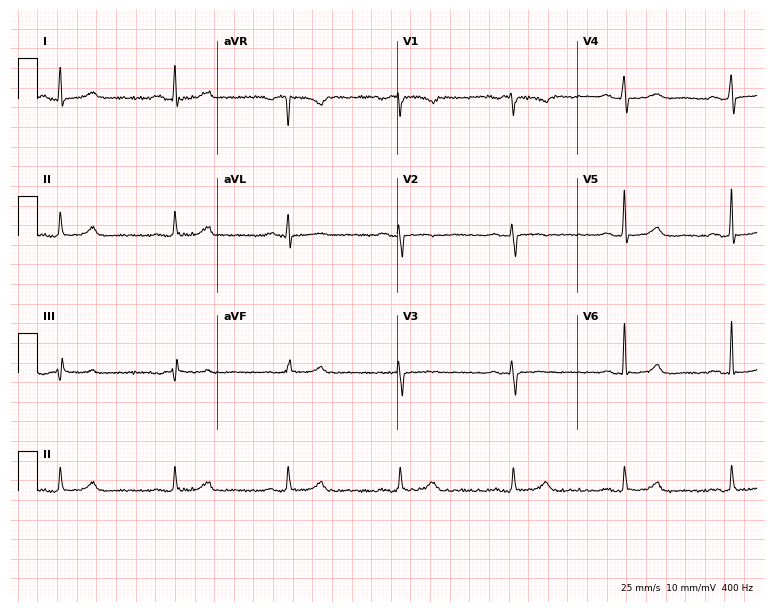
Standard 12-lead ECG recorded from a 54-year-old woman. None of these six findings is recorded: first-degree AV block, right bundle branch block, left bundle branch block, sinus bradycardia, atrial fibrillation, sinus tachycardia. Only these six findings were labelled.